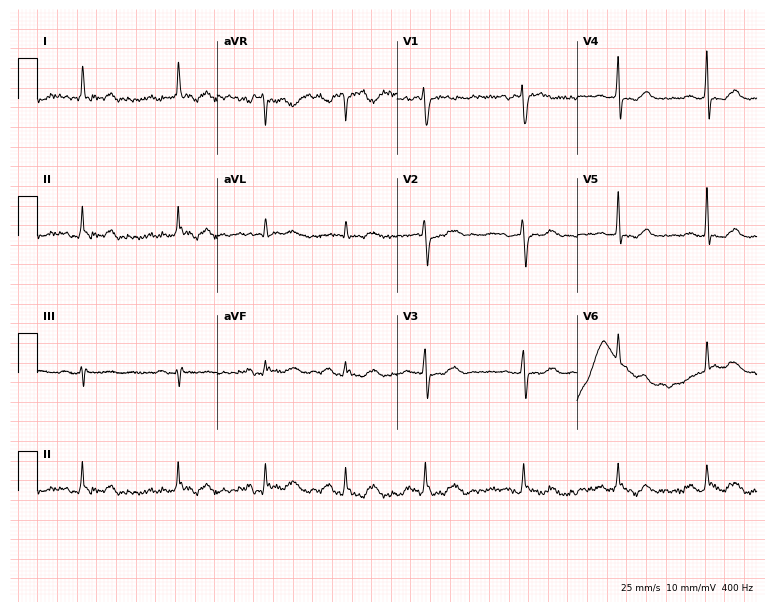
Standard 12-lead ECG recorded from a female, 61 years old (7.3-second recording at 400 Hz). None of these six findings is recorded: first-degree AV block, right bundle branch block (RBBB), left bundle branch block (LBBB), sinus bradycardia, atrial fibrillation (AF), sinus tachycardia.